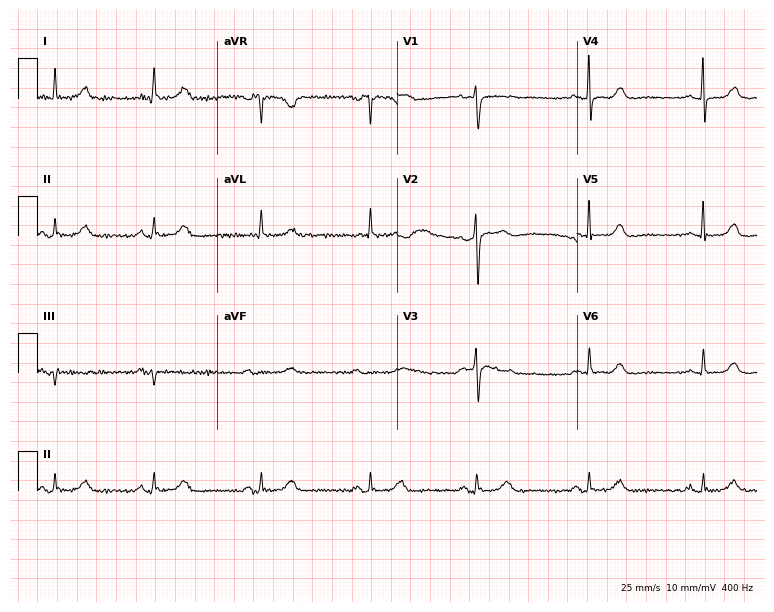
12-lead ECG from a 67-year-old female patient. Screened for six findings — first-degree AV block, right bundle branch block, left bundle branch block, sinus bradycardia, atrial fibrillation, sinus tachycardia — none is recorded. Only these six findings were labelled.